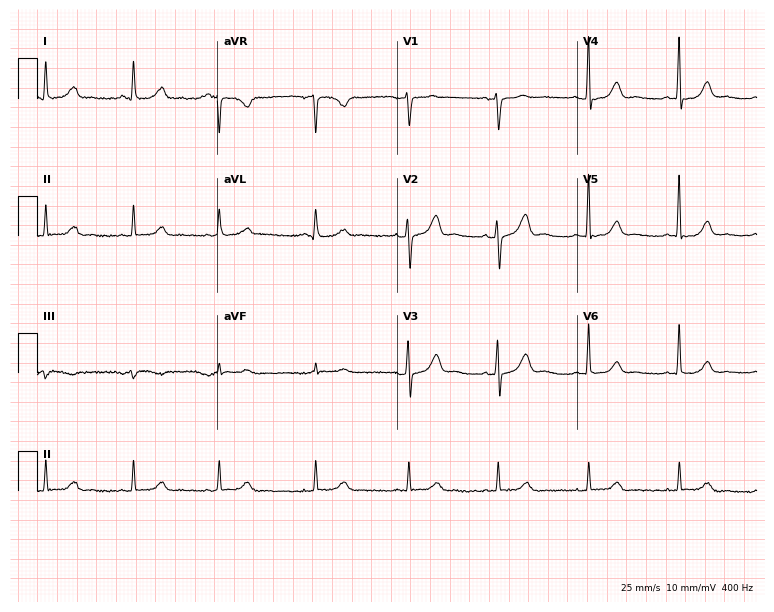
ECG — a female, 61 years old. Labelled as a normal ECG.